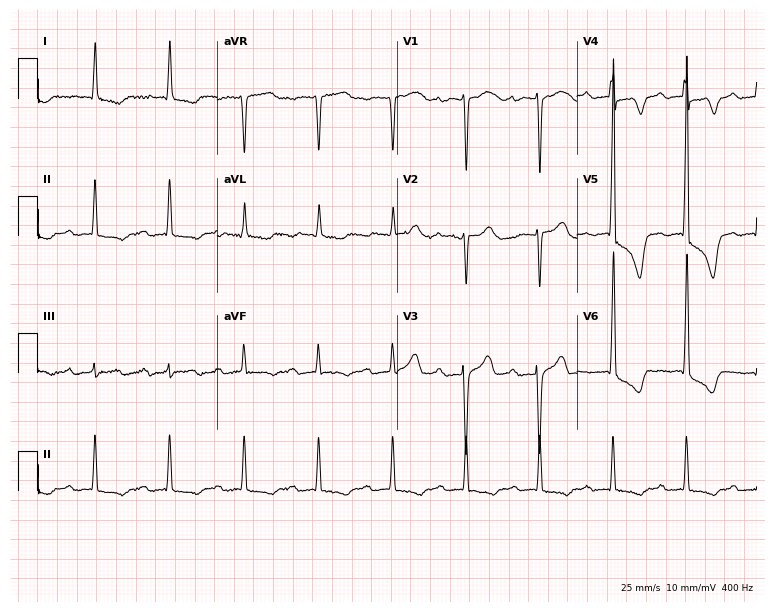
Electrocardiogram, a woman, 79 years old. Interpretation includes first-degree AV block.